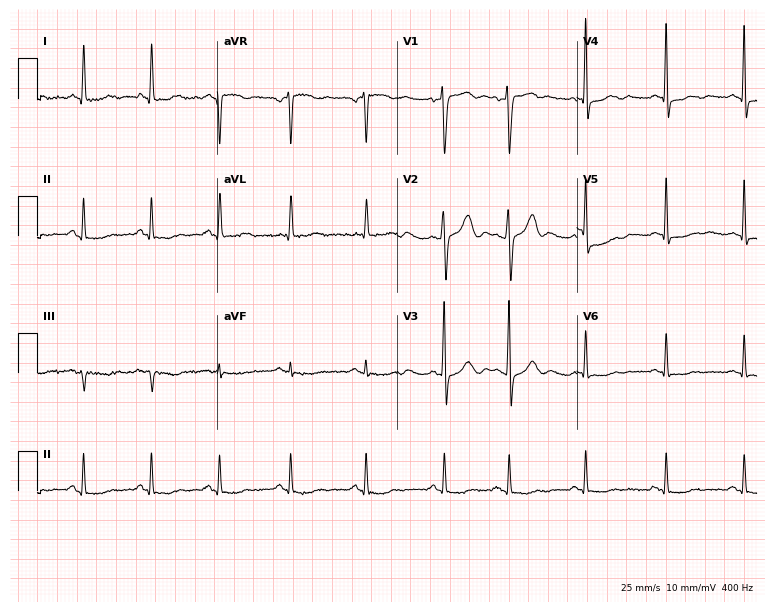
12-lead ECG from a man, 75 years old. Recorded interpretation: within normal limits.